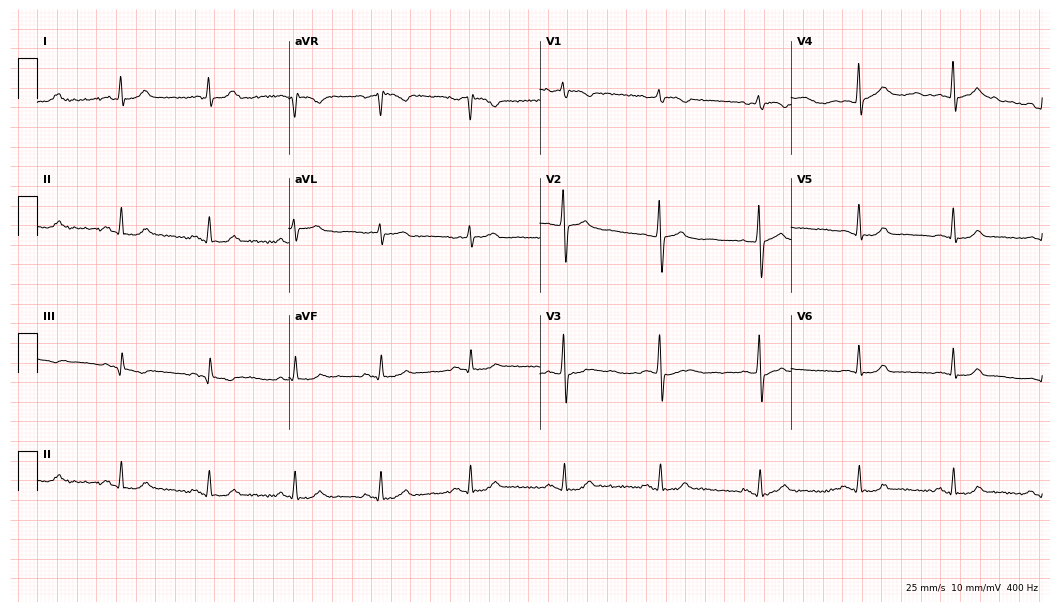
12-lead ECG from a 68-year-old female patient. Labelled as a normal ECG.